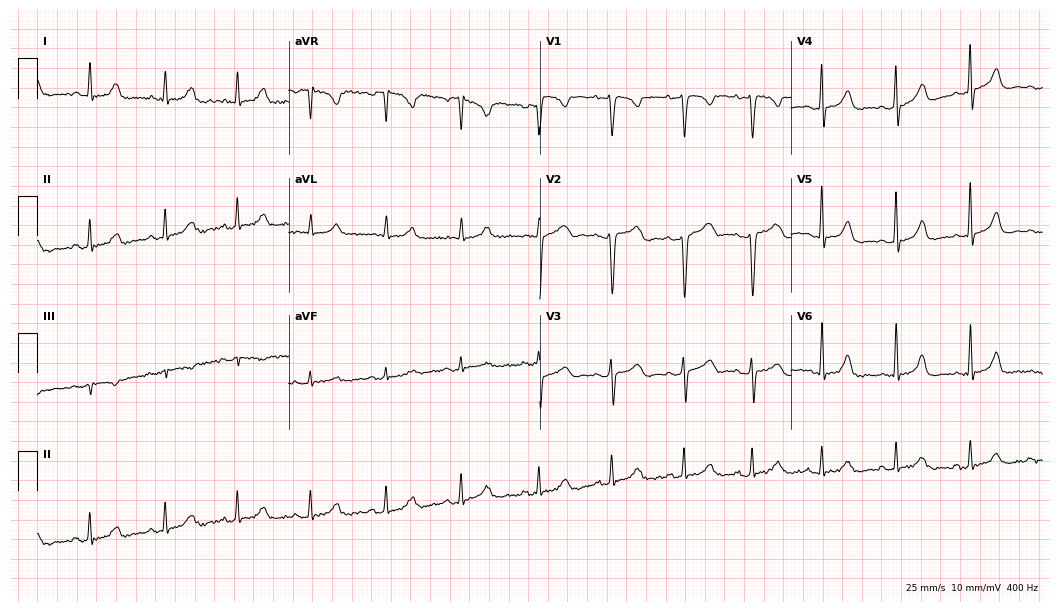
Standard 12-lead ECG recorded from a 39-year-old female. Read as a normal ECG.